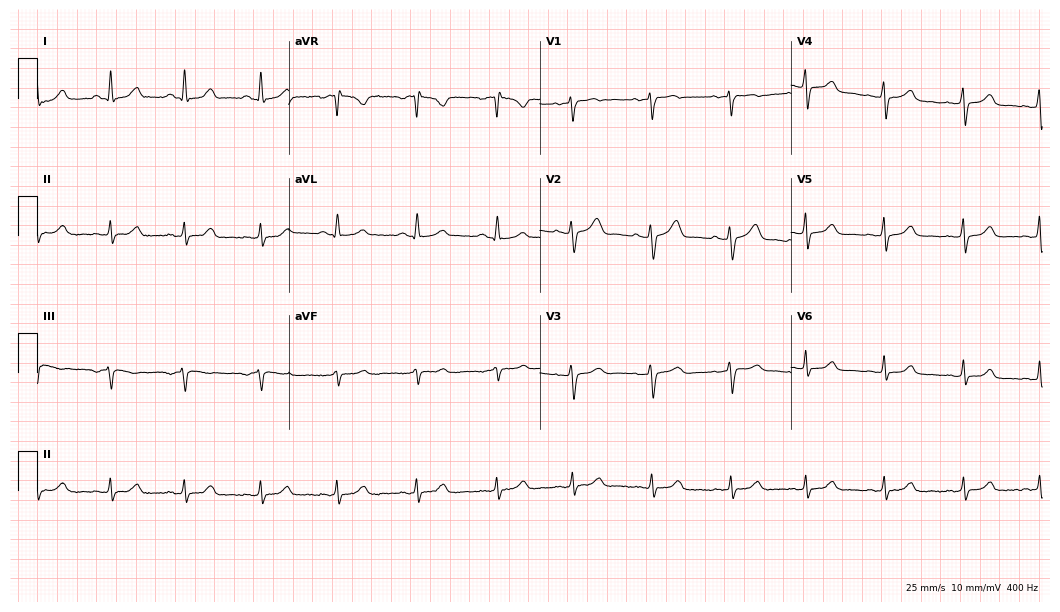
12-lead ECG from a 41-year-old female. Recorded interpretation: within normal limits.